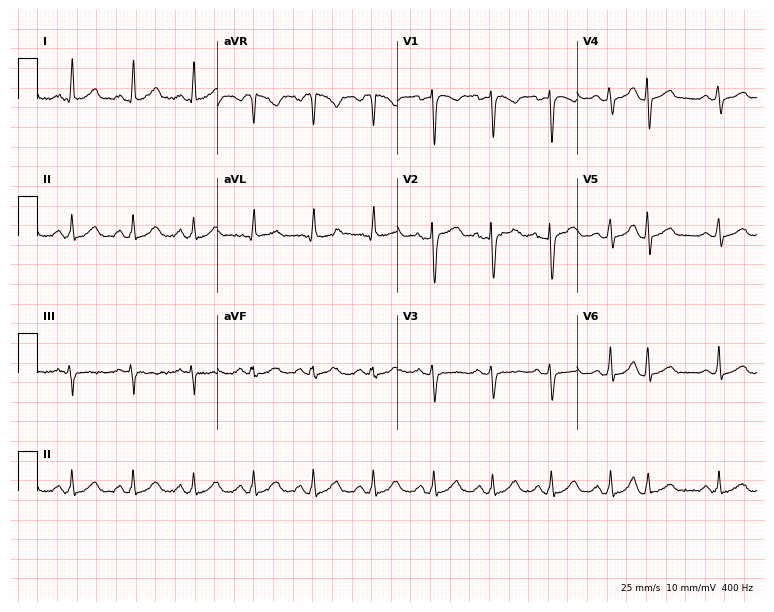
Resting 12-lead electrocardiogram (7.3-second recording at 400 Hz). Patient: a woman, 30 years old. Read as a normal ECG.